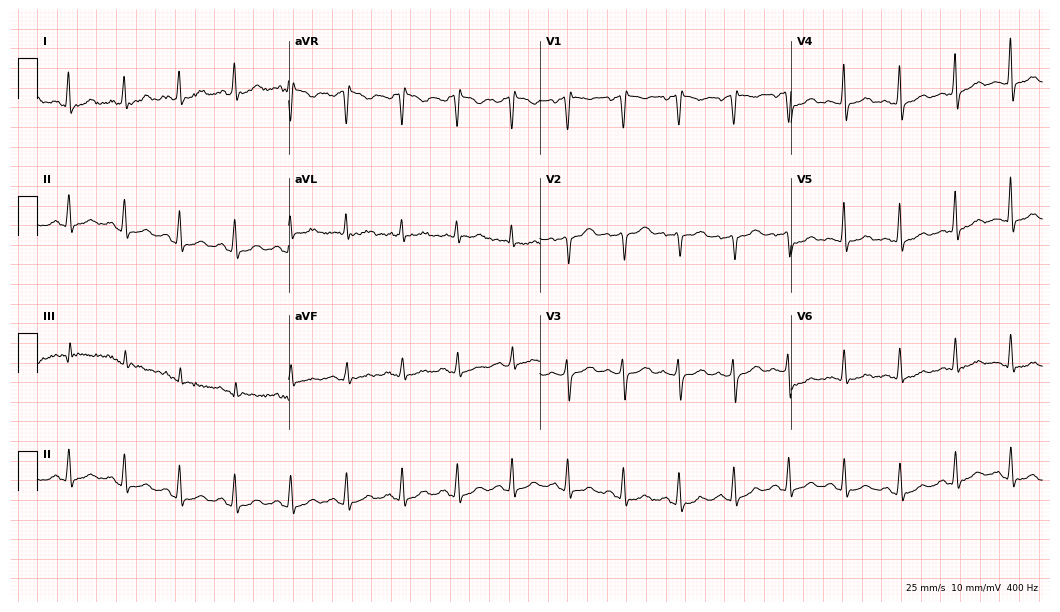
Standard 12-lead ECG recorded from a 41-year-old female (10.2-second recording at 400 Hz). None of these six findings is recorded: first-degree AV block, right bundle branch block, left bundle branch block, sinus bradycardia, atrial fibrillation, sinus tachycardia.